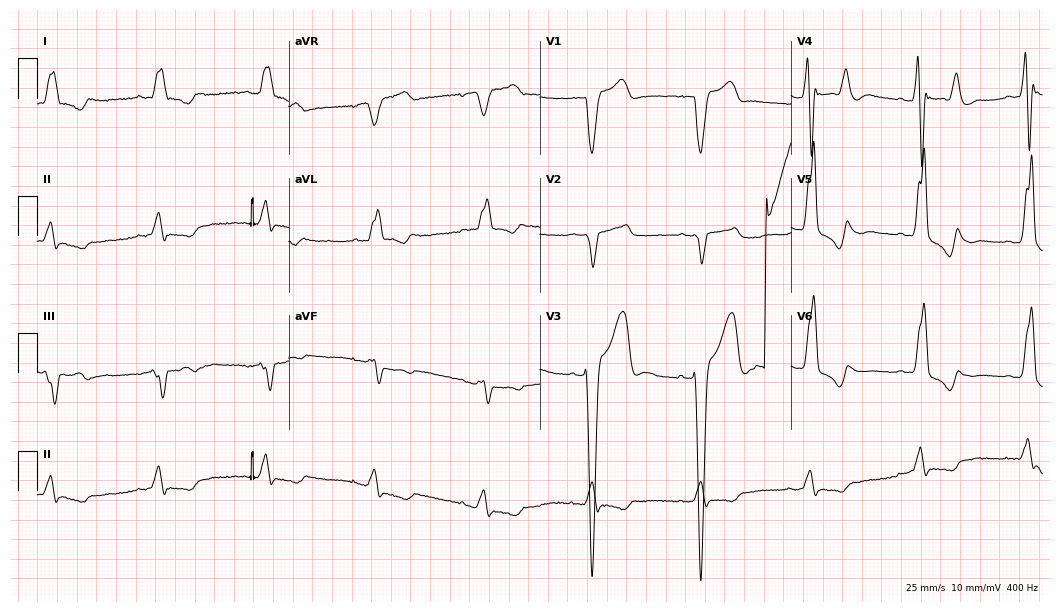
Standard 12-lead ECG recorded from a male patient, 81 years old. The tracing shows left bundle branch block.